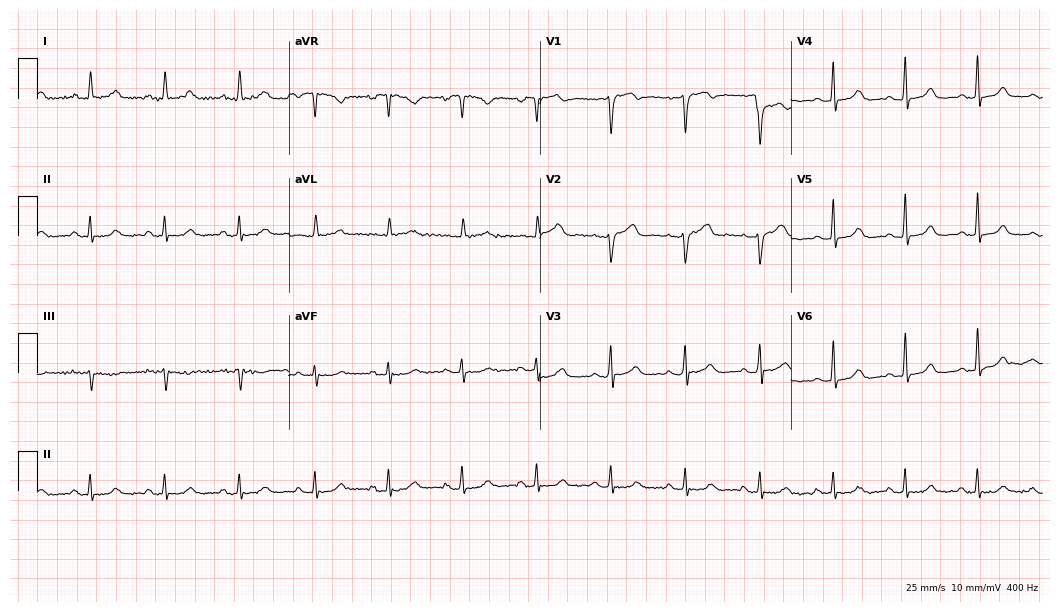
Standard 12-lead ECG recorded from a 48-year-old female (10.2-second recording at 400 Hz). Read as a normal ECG.